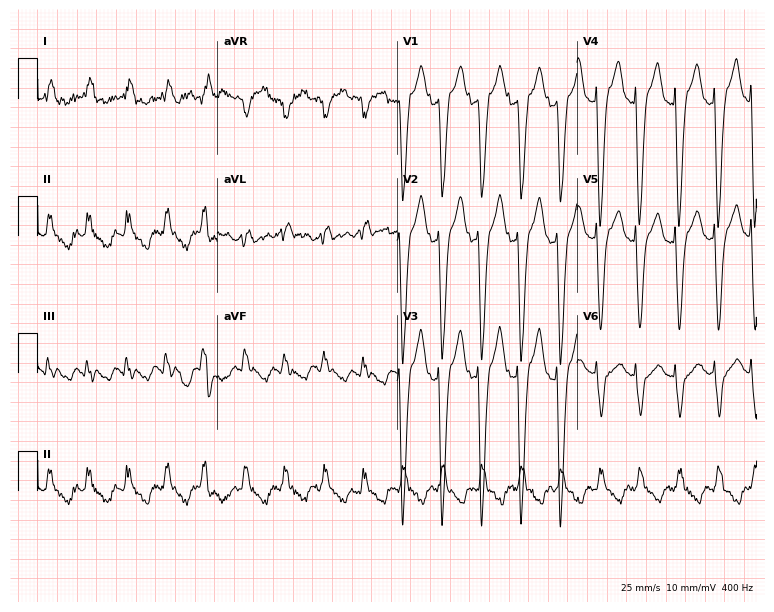
Resting 12-lead electrocardiogram. Patient: a 61-year-old female. The tracing shows left bundle branch block.